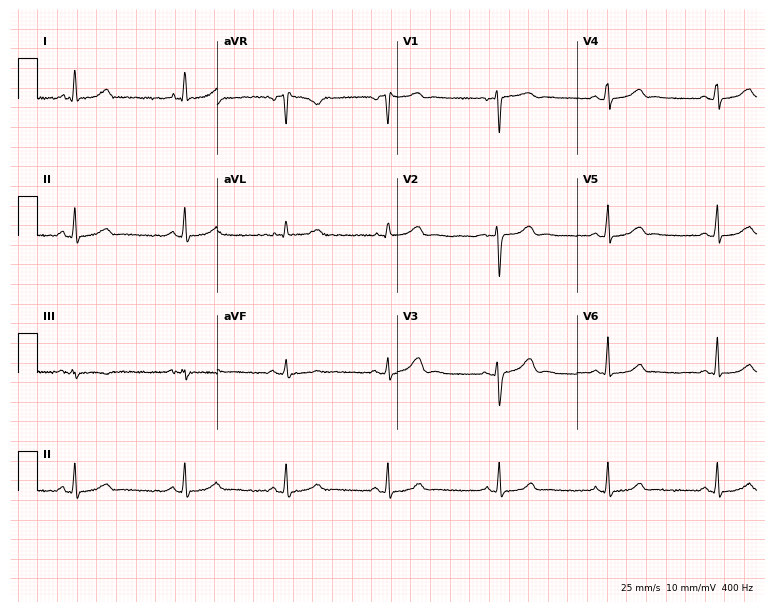
Standard 12-lead ECG recorded from a female, 32 years old. Read as a normal ECG.